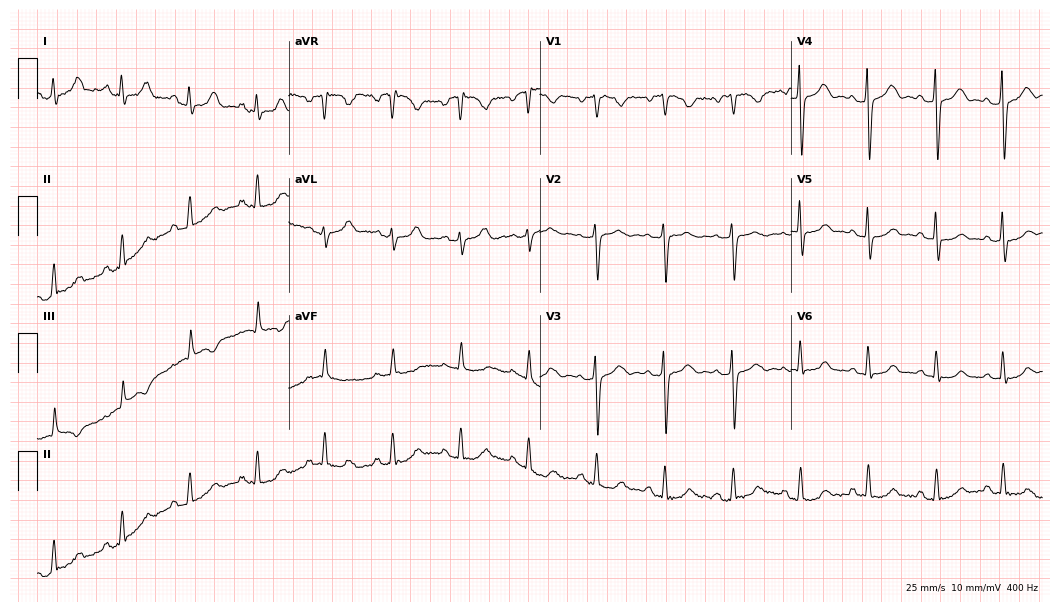
ECG — a female, 38 years old. Labelled as a normal ECG.